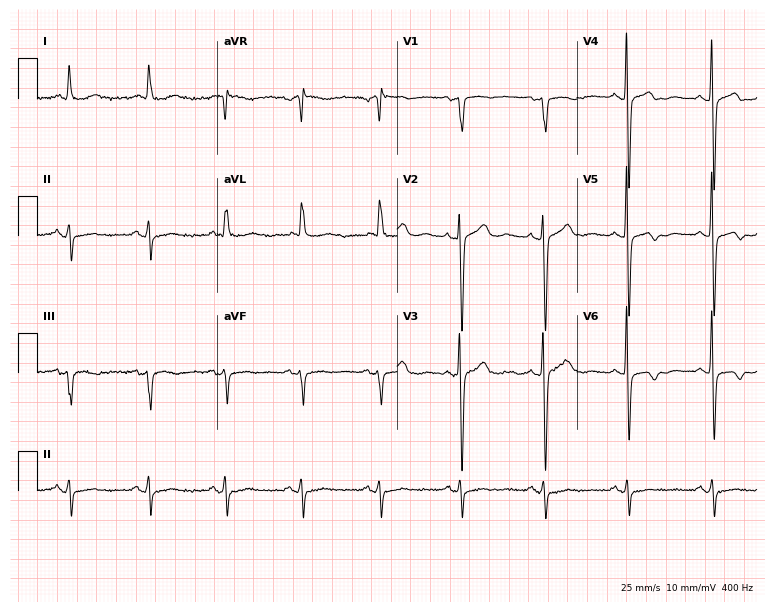
Resting 12-lead electrocardiogram. Patient: a male, 80 years old. None of these six findings is recorded: first-degree AV block, right bundle branch block, left bundle branch block, sinus bradycardia, atrial fibrillation, sinus tachycardia. Only these six findings were labelled.